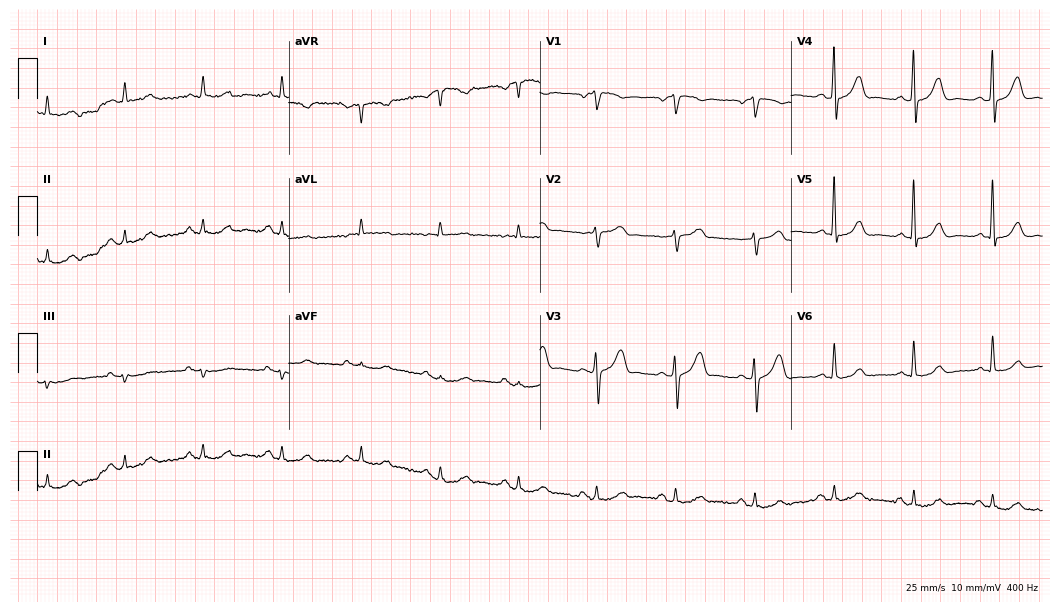
Resting 12-lead electrocardiogram. Patient: a male, 68 years old. None of these six findings is recorded: first-degree AV block, right bundle branch block, left bundle branch block, sinus bradycardia, atrial fibrillation, sinus tachycardia.